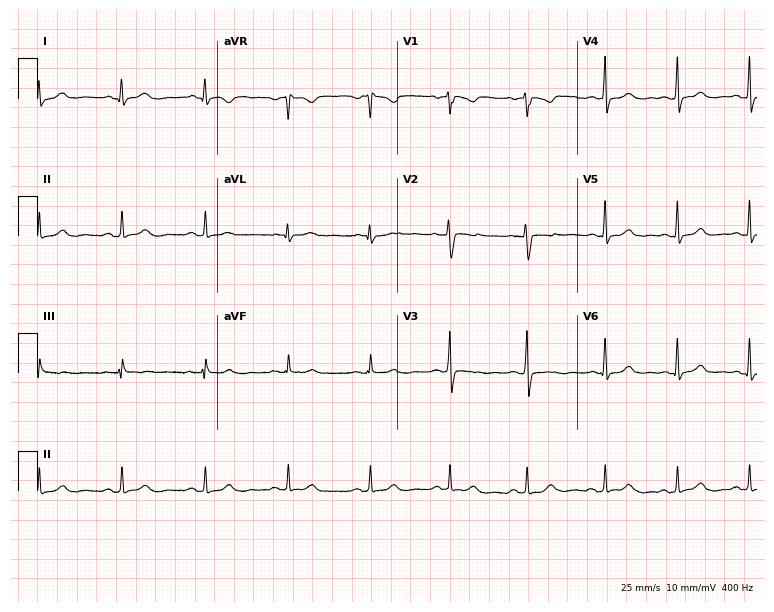
12-lead ECG (7.3-second recording at 400 Hz) from a woman, 31 years old. Screened for six findings — first-degree AV block, right bundle branch block (RBBB), left bundle branch block (LBBB), sinus bradycardia, atrial fibrillation (AF), sinus tachycardia — none is recorded.